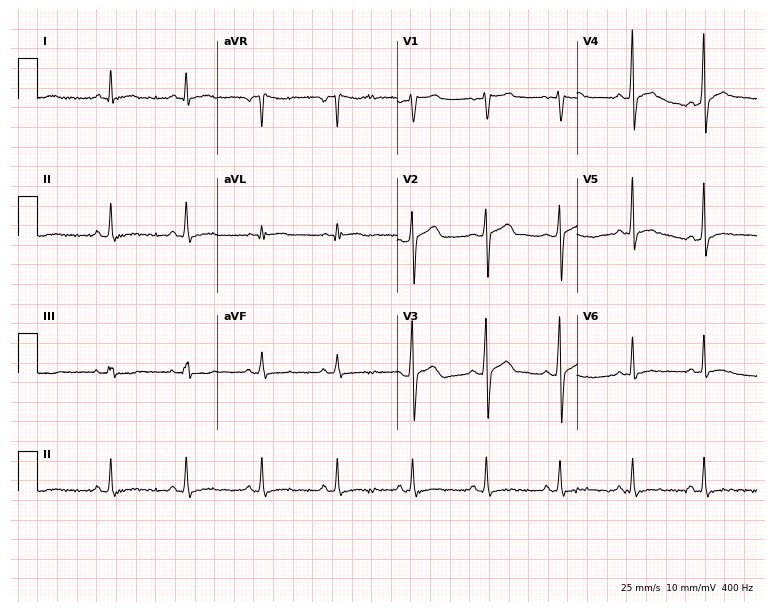
Electrocardiogram (7.3-second recording at 400 Hz), a 33-year-old man. Of the six screened findings (first-degree AV block, right bundle branch block, left bundle branch block, sinus bradycardia, atrial fibrillation, sinus tachycardia), none is recorded. Findings outside these six are not listed.